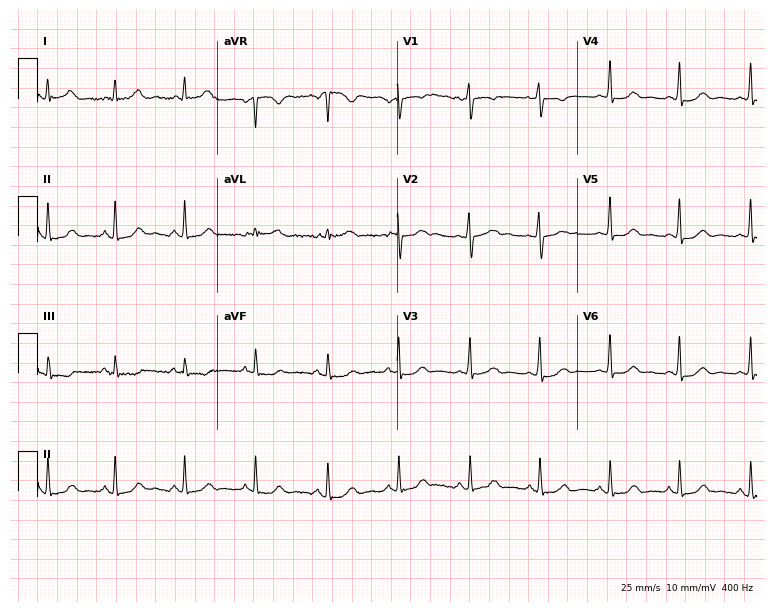
12-lead ECG from a 43-year-old woman (7.3-second recording at 400 Hz). Recorded interpretation: within normal limits.